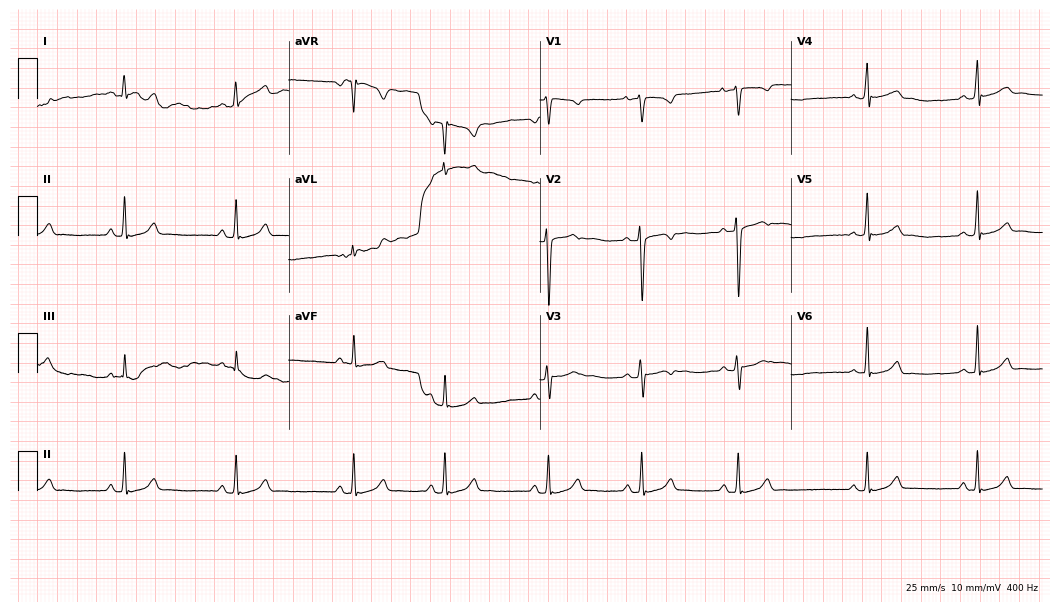
Resting 12-lead electrocardiogram (10.2-second recording at 400 Hz). Patient: a male, 28 years old. None of these six findings is recorded: first-degree AV block, right bundle branch block, left bundle branch block, sinus bradycardia, atrial fibrillation, sinus tachycardia.